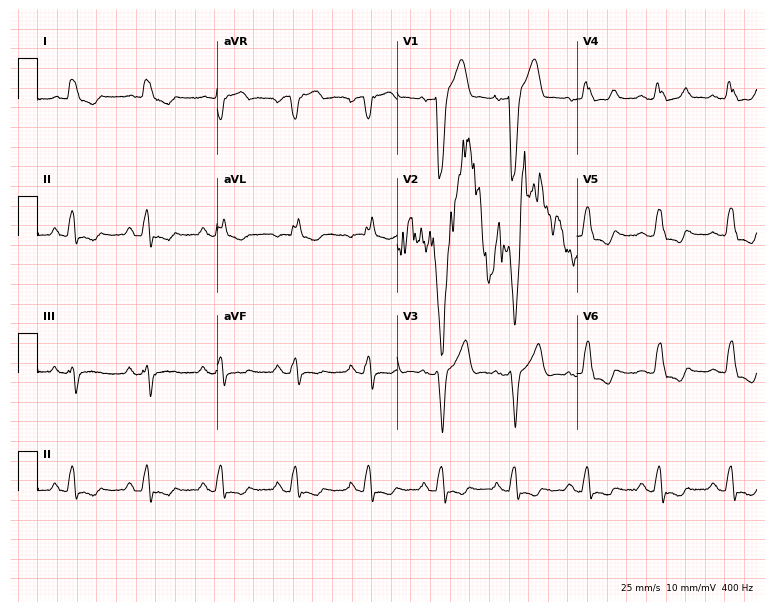
12-lead ECG from a 73-year-old man (7.3-second recording at 400 Hz). Shows left bundle branch block.